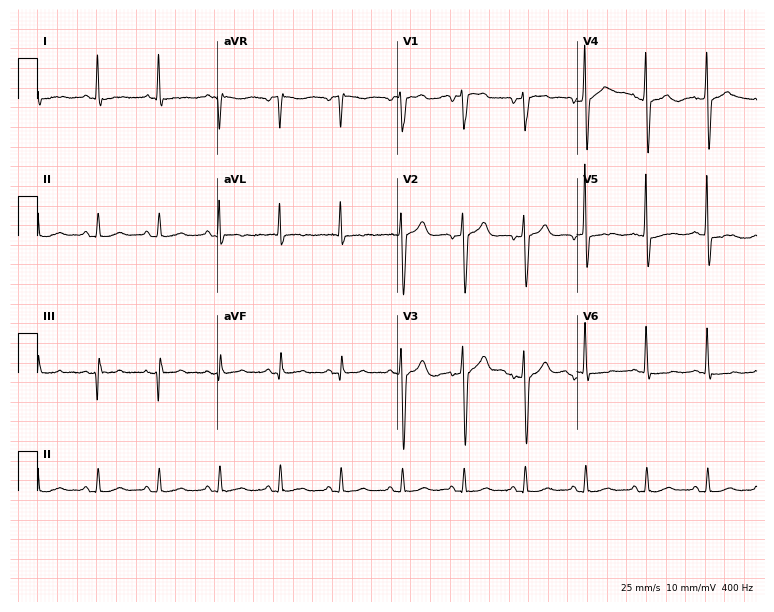
Resting 12-lead electrocardiogram. Patient: a man, 65 years old. None of these six findings is recorded: first-degree AV block, right bundle branch block, left bundle branch block, sinus bradycardia, atrial fibrillation, sinus tachycardia.